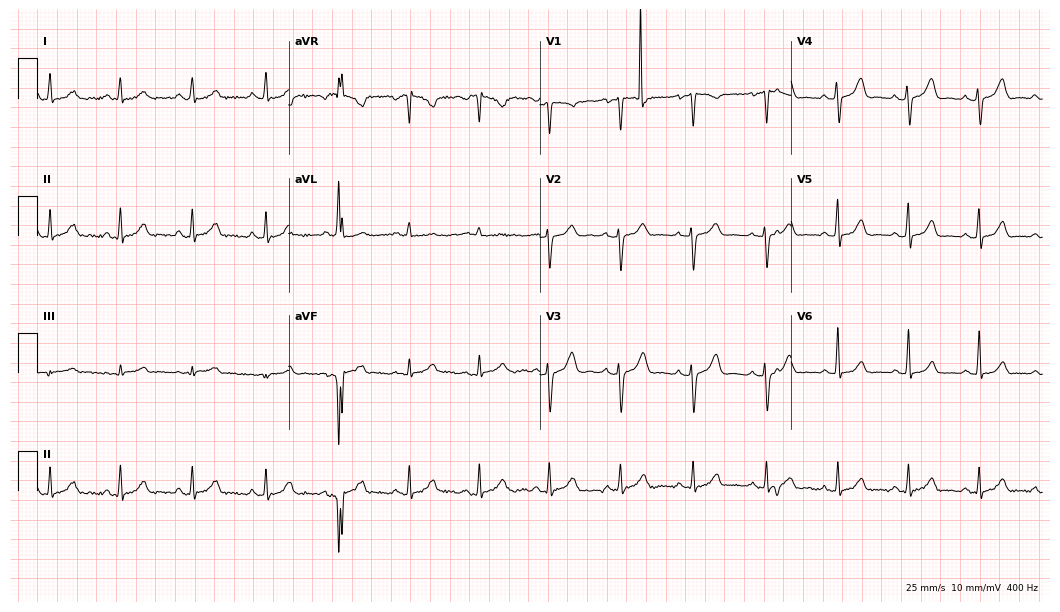
Electrocardiogram, a female, 34 years old. Of the six screened findings (first-degree AV block, right bundle branch block (RBBB), left bundle branch block (LBBB), sinus bradycardia, atrial fibrillation (AF), sinus tachycardia), none is recorded. Findings outside these six are not listed.